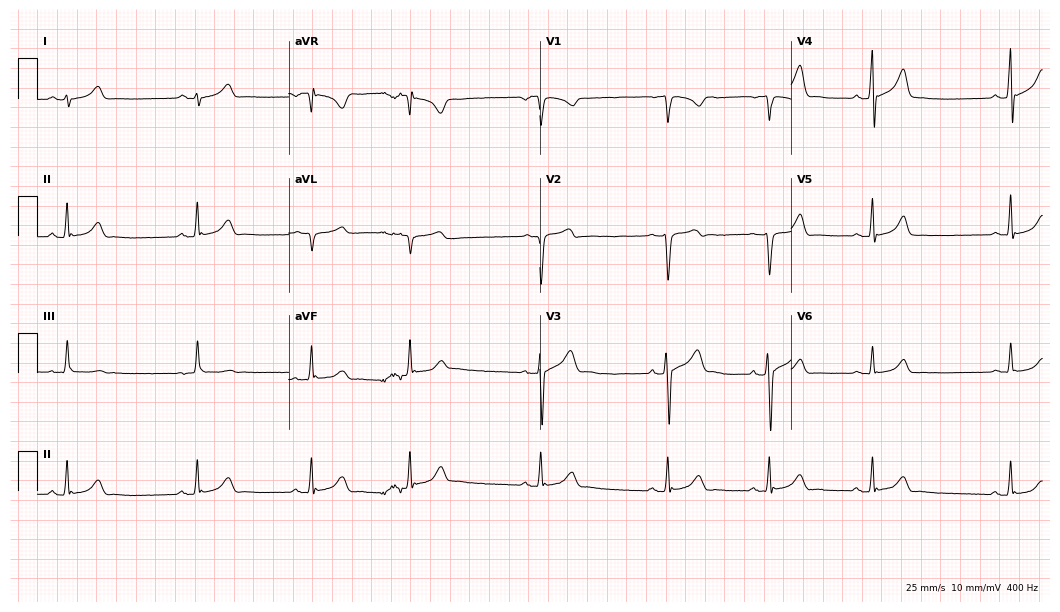
Electrocardiogram (10.2-second recording at 400 Hz), a 20-year-old man. Of the six screened findings (first-degree AV block, right bundle branch block (RBBB), left bundle branch block (LBBB), sinus bradycardia, atrial fibrillation (AF), sinus tachycardia), none is recorded. Only these six findings were labelled.